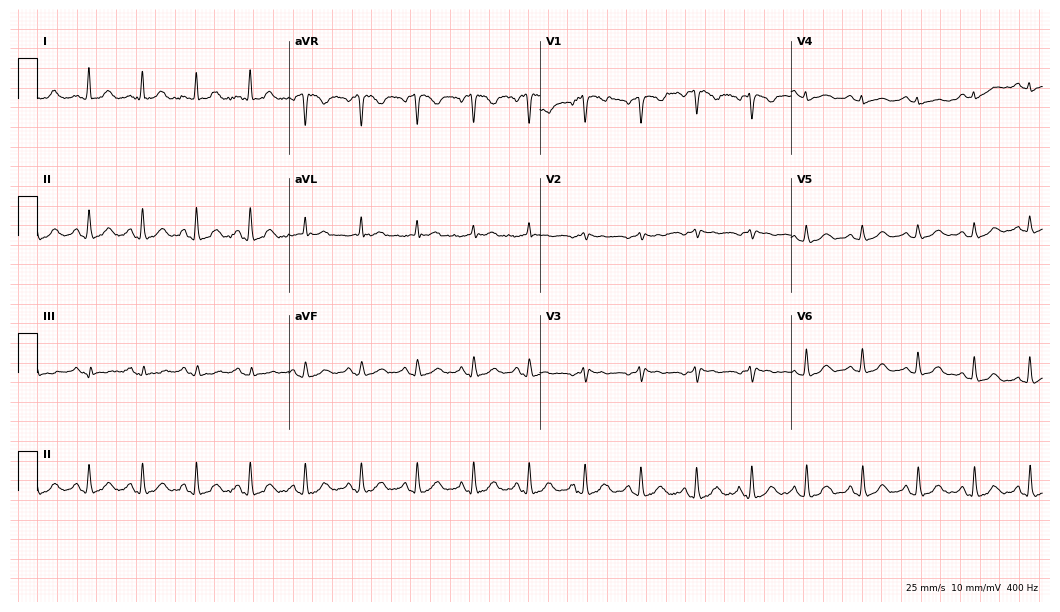
ECG — a woman, 39 years old. Screened for six findings — first-degree AV block, right bundle branch block (RBBB), left bundle branch block (LBBB), sinus bradycardia, atrial fibrillation (AF), sinus tachycardia — none is recorded. Findings outside these six are not listed.